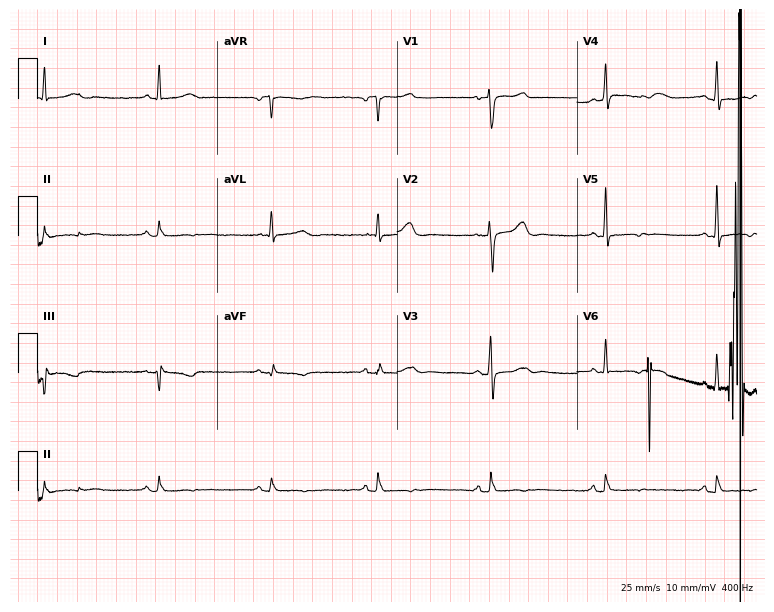
12-lead ECG from a 74-year-old woman (7.3-second recording at 400 Hz). No first-degree AV block, right bundle branch block (RBBB), left bundle branch block (LBBB), sinus bradycardia, atrial fibrillation (AF) or sinus tachycardia recorded for this tracing. Findings outside these six are not listed.